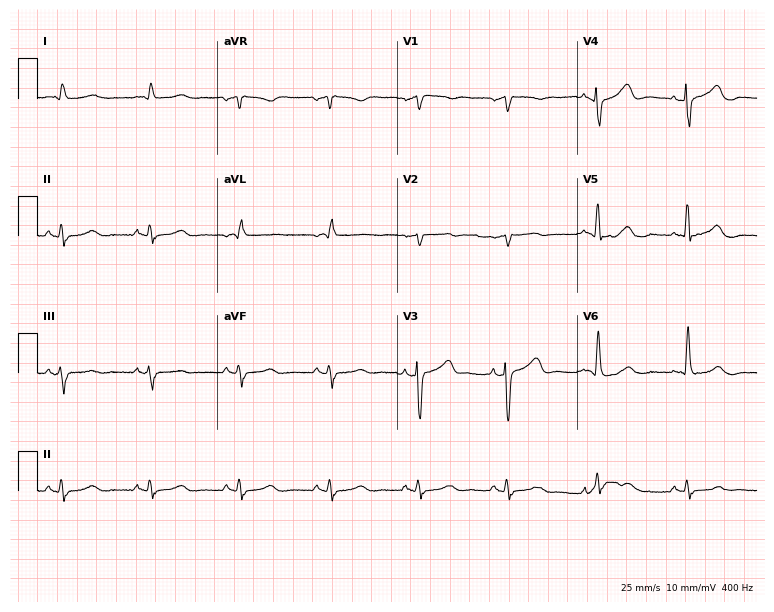
ECG — a male, 81 years old. Screened for six findings — first-degree AV block, right bundle branch block (RBBB), left bundle branch block (LBBB), sinus bradycardia, atrial fibrillation (AF), sinus tachycardia — none is recorded.